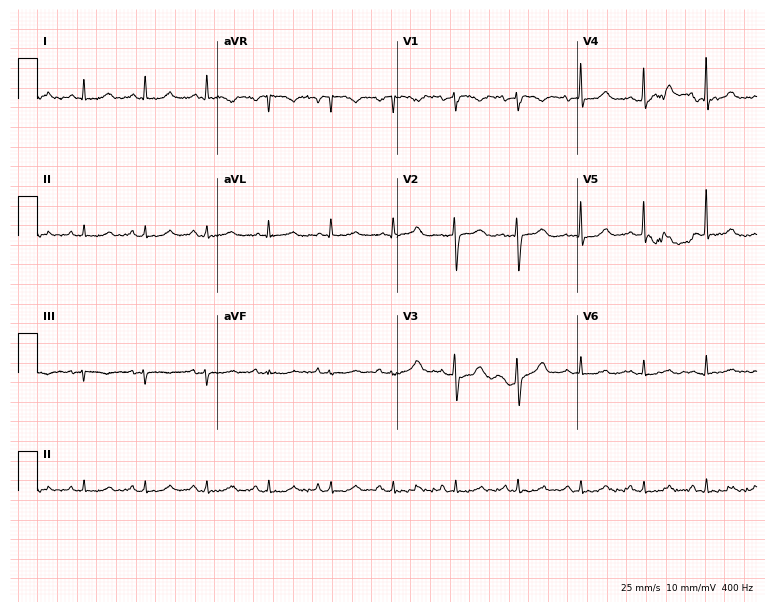
ECG (7.3-second recording at 400 Hz) — a man, 70 years old. Labelled as a normal ECG.